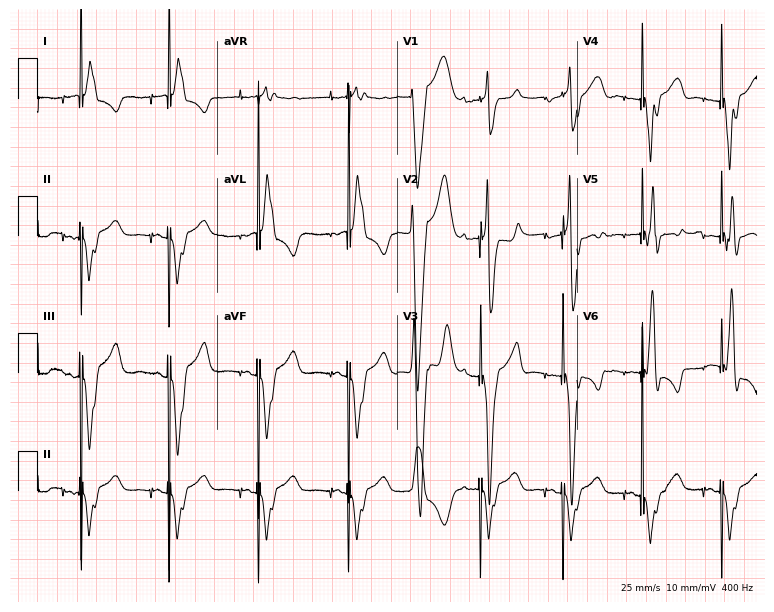
Electrocardiogram, a male, 75 years old. Of the six screened findings (first-degree AV block, right bundle branch block, left bundle branch block, sinus bradycardia, atrial fibrillation, sinus tachycardia), none is recorded. Findings outside these six are not listed.